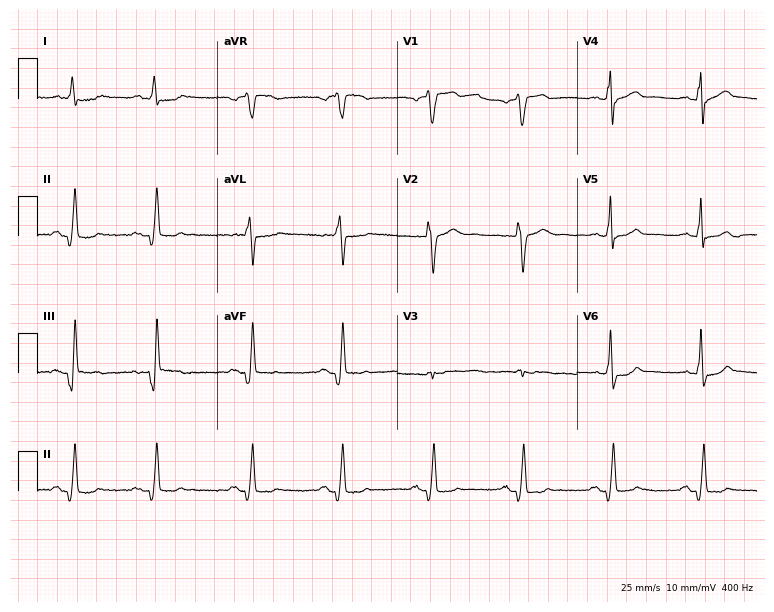
Resting 12-lead electrocardiogram. Patient: a 66-year-old male. None of these six findings is recorded: first-degree AV block, right bundle branch block (RBBB), left bundle branch block (LBBB), sinus bradycardia, atrial fibrillation (AF), sinus tachycardia. Only these six findings were labelled.